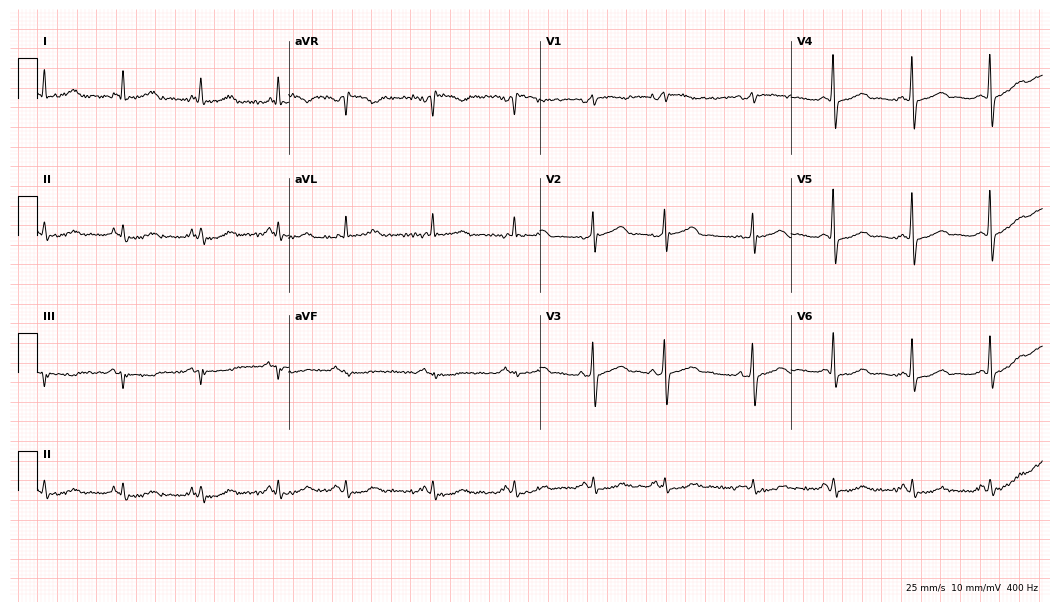
Resting 12-lead electrocardiogram. Patient: a female, 68 years old. None of these six findings is recorded: first-degree AV block, right bundle branch block (RBBB), left bundle branch block (LBBB), sinus bradycardia, atrial fibrillation (AF), sinus tachycardia.